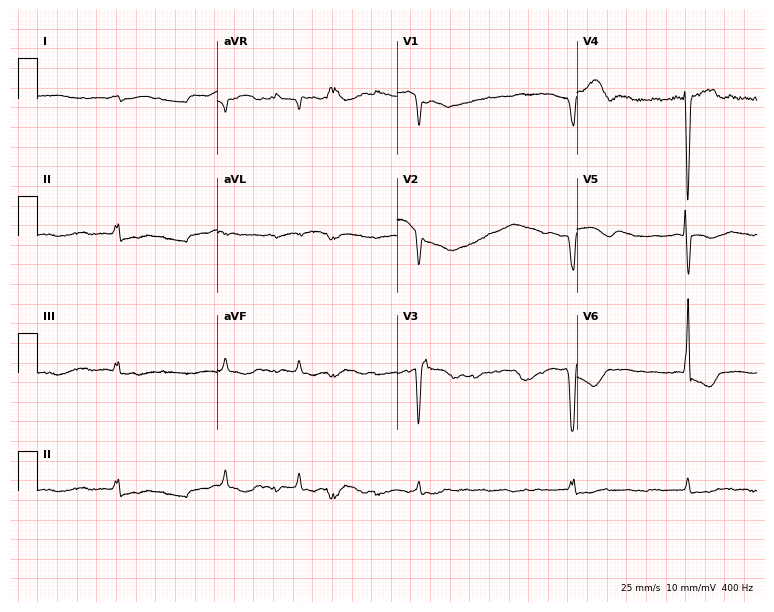
12-lead ECG from a woman, 82 years old (7.3-second recording at 400 Hz). No first-degree AV block, right bundle branch block, left bundle branch block, sinus bradycardia, atrial fibrillation or sinus tachycardia recorded for this tracing.